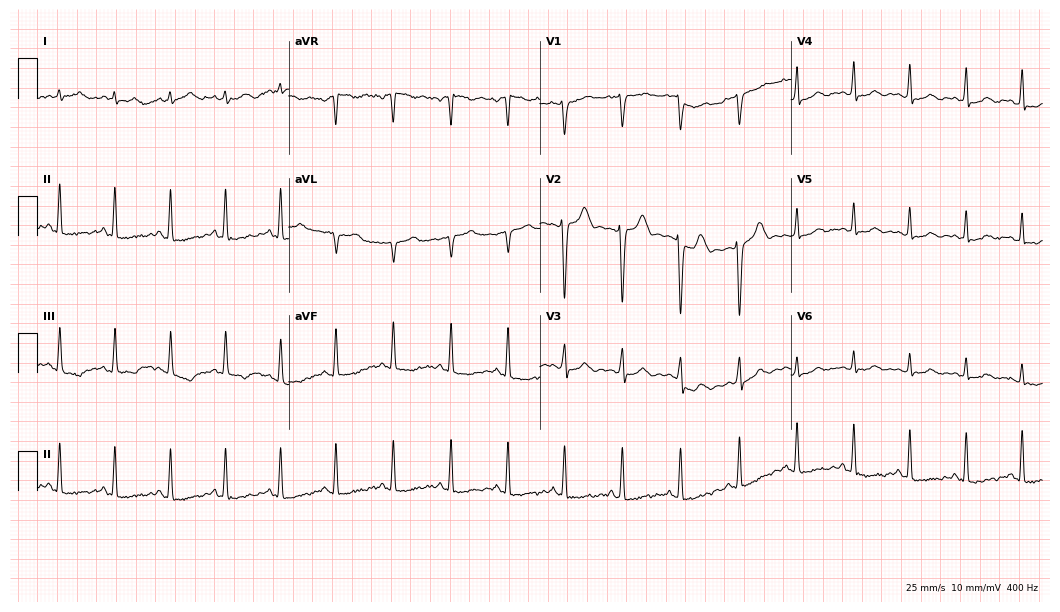
12-lead ECG from a woman, 24 years old (10.2-second recording at 400 Hz). Shows sinus tachycardia (a sinus rate of 100 beats per minute or more).